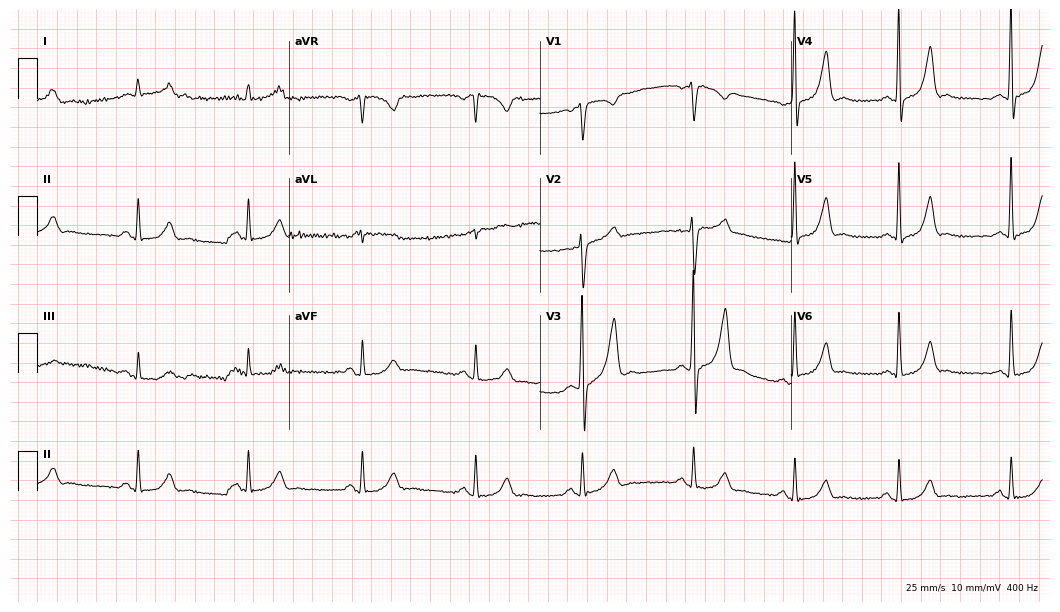
12-lead ECG from a 47-year-old man (10.2-second recording at 400 Hz). Recorded interpretation: within normal limits.